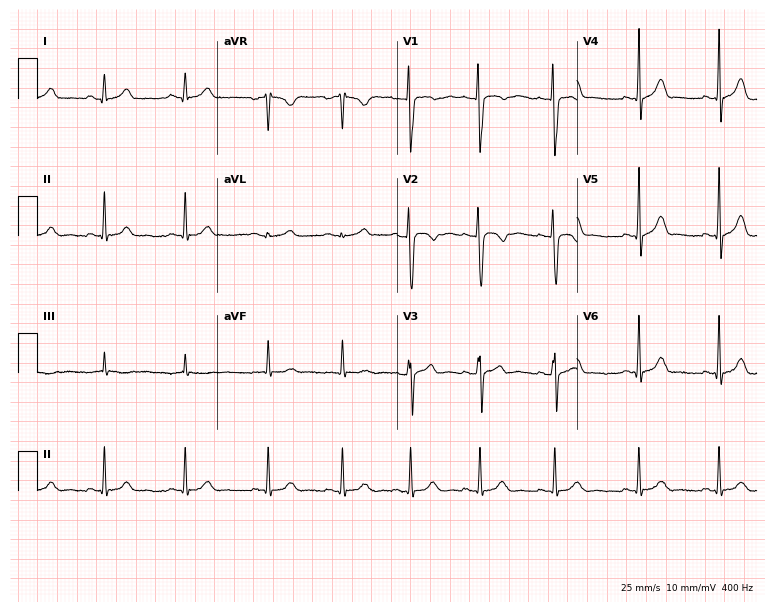
ECG — a 22-year-old female. Labelled as a normal ECG.